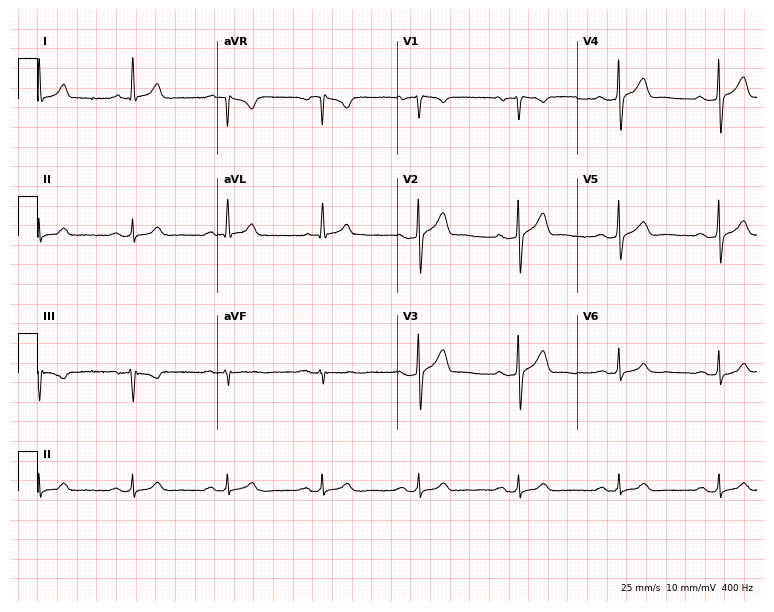
Electrocardiogram (7.3-second recording at 400 Hz), a male patient, 71 years old. Of the six screened findings (first-degree AV block, right bundle branch block, left bundle branch block, sinus bradycardia, atrial fibrillation, sinus tachycardia), none is recorded. Findings outside these six are not listed.